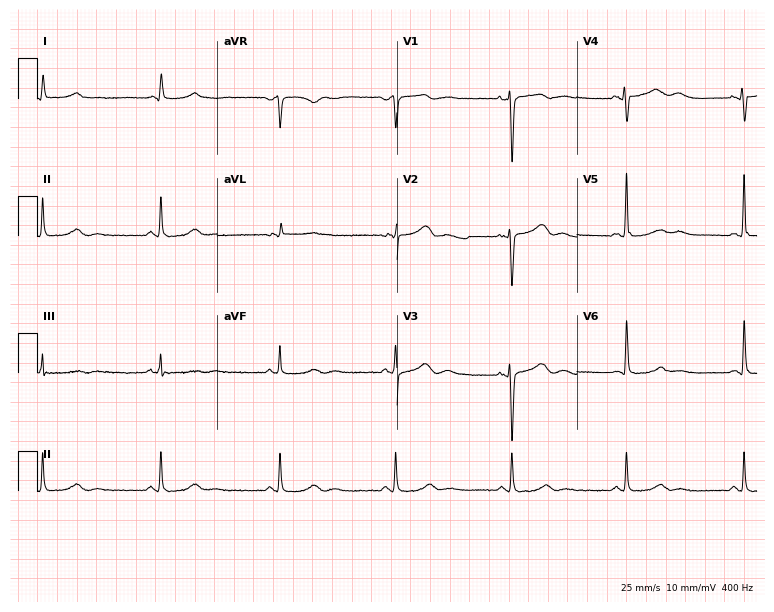
Standard 12-lead ECG recorded from a 46-year-old woman (7.3-second recording at 400 Hz). Read as a normal ECG.